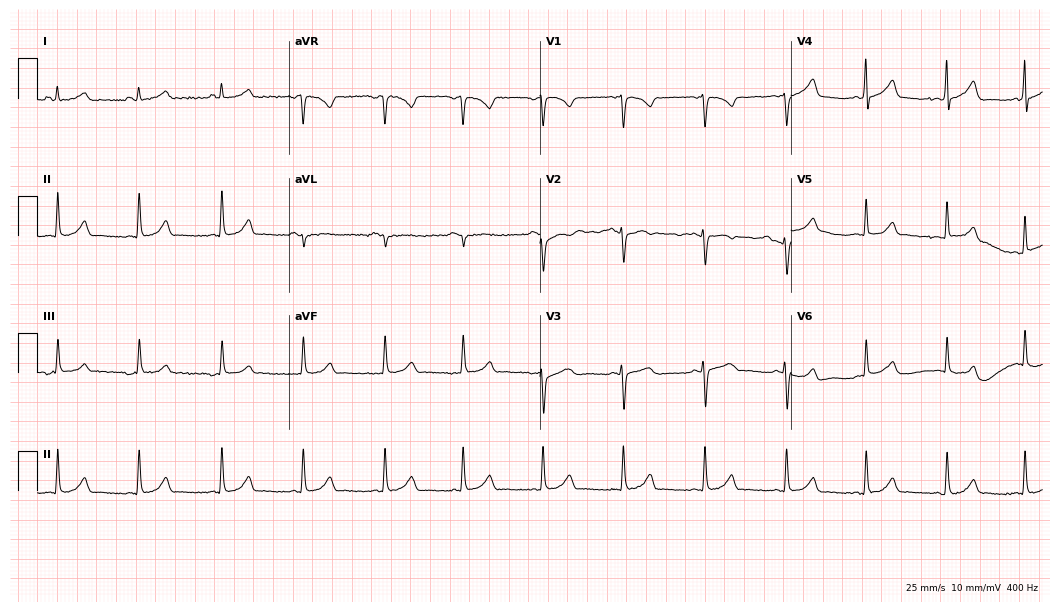
12-lead ECG from an 18-year-old woman. Labelled as a normal ECG.